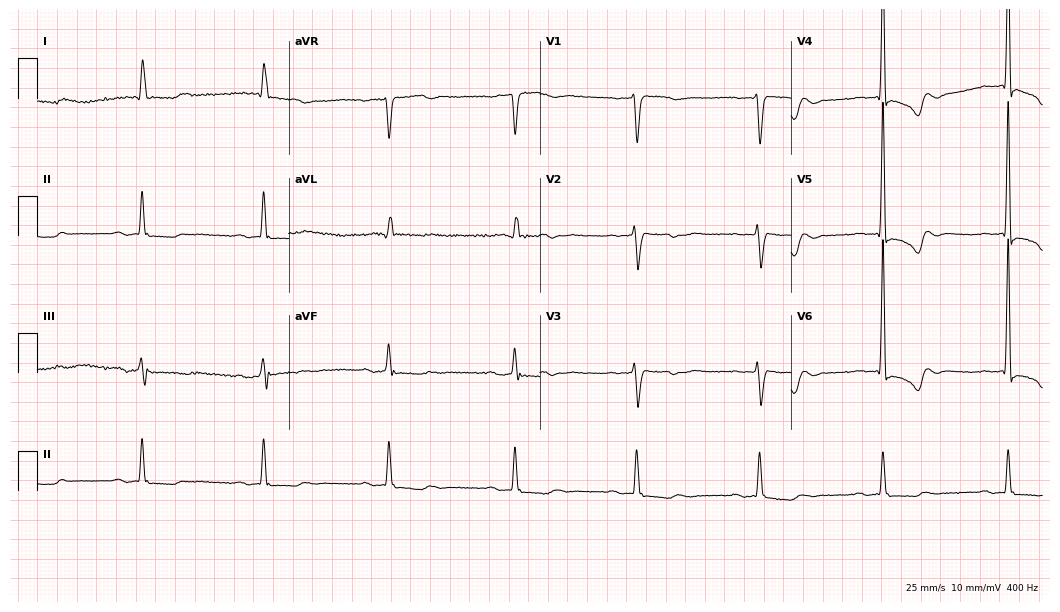
12-lead ECG from a 77-year-old female patient. Findings include sinus bradycardia (a sinus rate of 50 beats per minute or less).